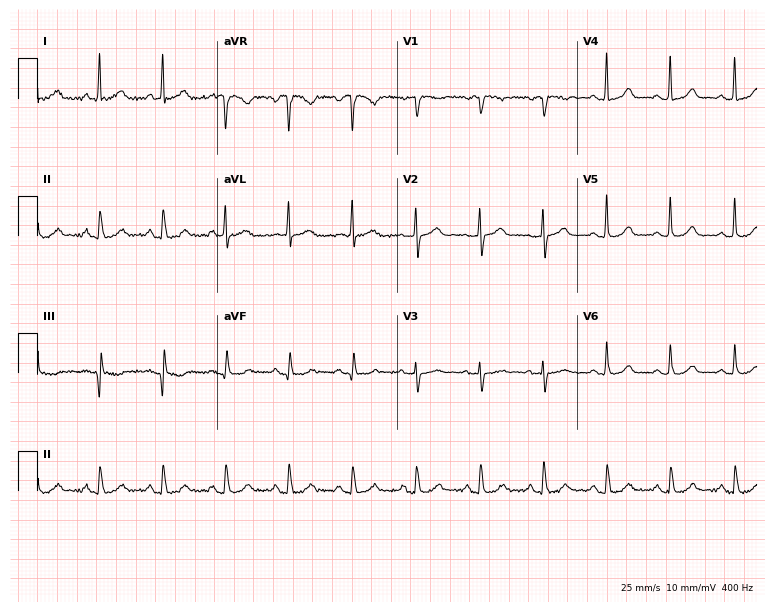
ECG (7.3-second recording at 400 Hz) — a 71-year-old woman. Labelled as a normal ECG.